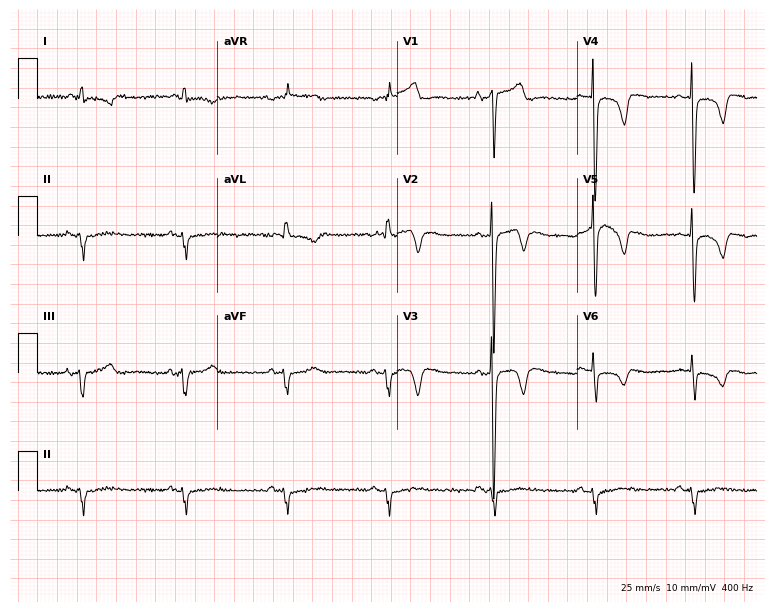
12-lead ECG from a 57-year-old male patient (7.3-second recording at 400 Hz). No first-degree AV block, right bundle branch block (RBBB), left bundle branch block (LBBB), sinus bradycardia, atrial fibrillation (AF) or sinus tachycardia recorded for this tracing. Only these six findings were labelled.